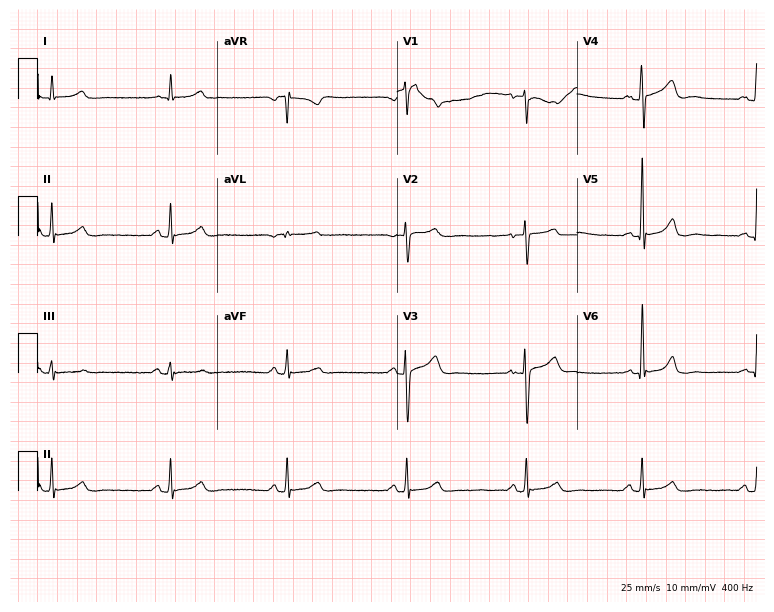
Resting 12-lead electrocardiogram. Patient: a 61-year-old female. Read as a normal ECG.